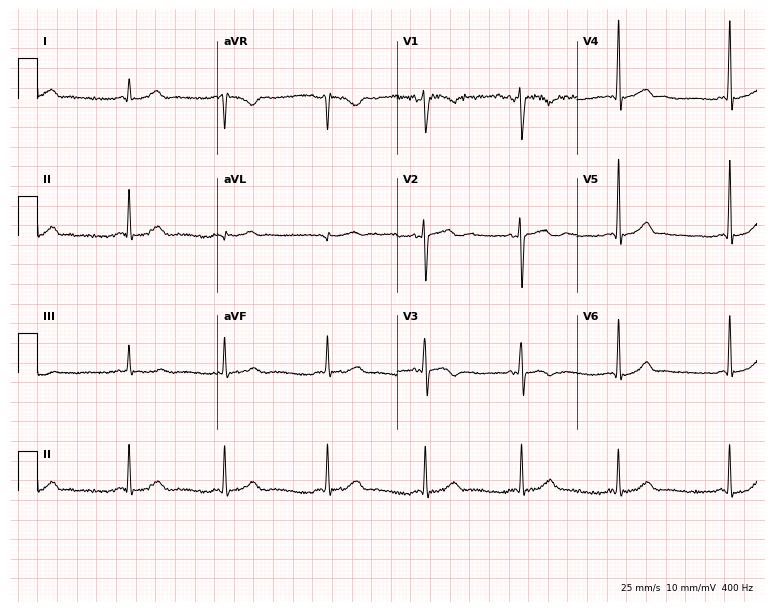
12-lead ECG from an 18-year-old male patient. Recorded interpretation: within normal limits.